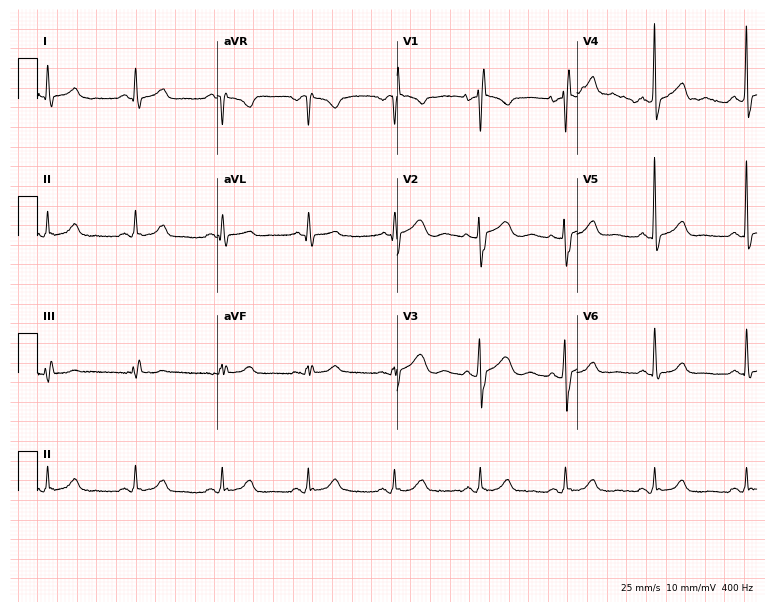
Resting 12-lead electrocardiogram. Patient: a female, 66 years old. None of these six findings is recorded: first-degree AV block, right bundle branch block (RBBB), left bundle branch block (LBBB), sinus bradycardia, atrial fibrillation (AF), sinus tachycardia. Other findings, if any, are not listed.